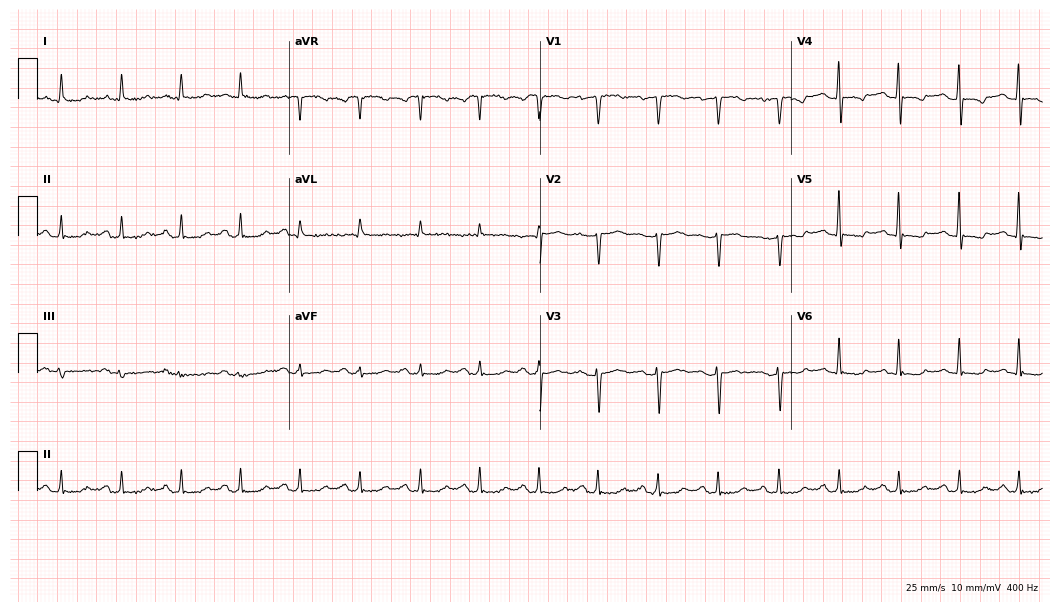
12-lead ECG from a 59-year-old female. No first-degree AV block, right bundle branch block (RBBB), left bundle branch block (LBBB), sinus bradycardia, atrial fibrillation (AF) or sinus tachycardia recorded for this tracing. Findings outside these six are not listed.